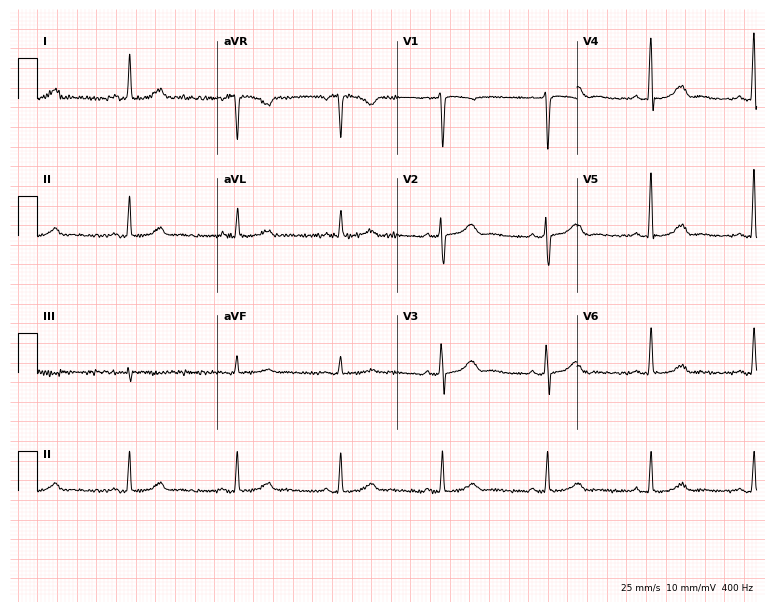
12-lead ECG from a female, 59 years old. Recorded interpretation: within normal limits.